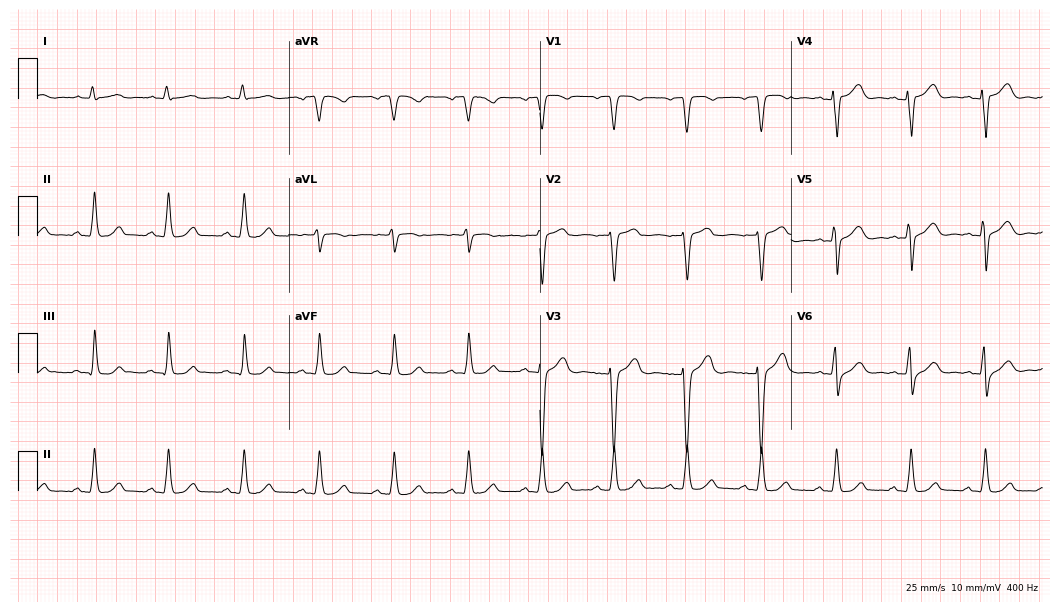
12-lead ECG from a 45-year-old female patient. No first-degree AV block, right bundle branch block, left bundle branch block, sinus bradycardia, atrial fibrillation or sinus tachycardia recorded for this tracing.